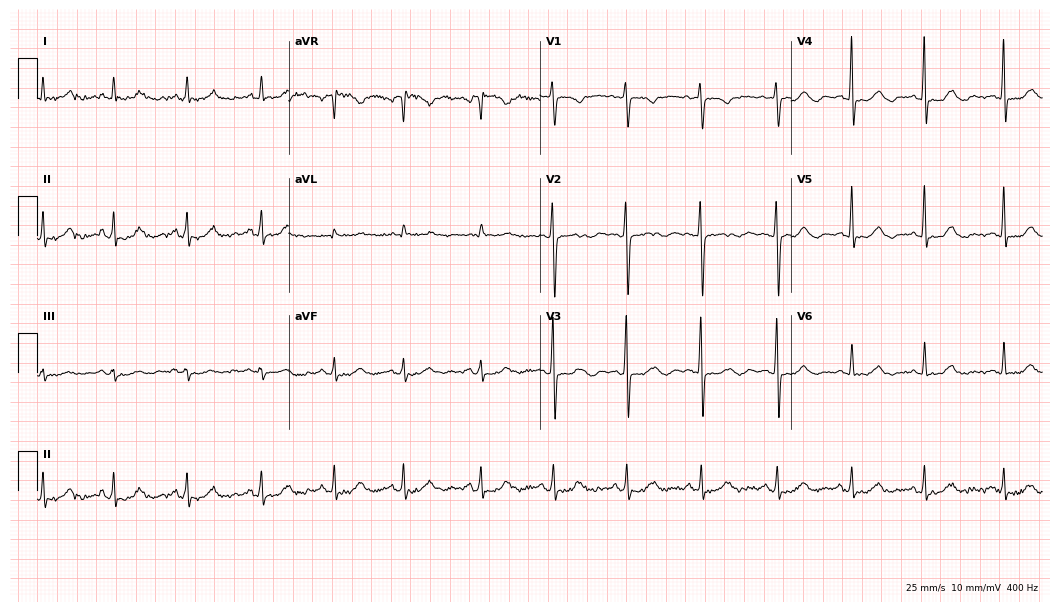
Resting 12-lead electrocardiogram (10.2-second recording at 400 Hz). Patient: a 65-year-old female. Read as a normal ECG.